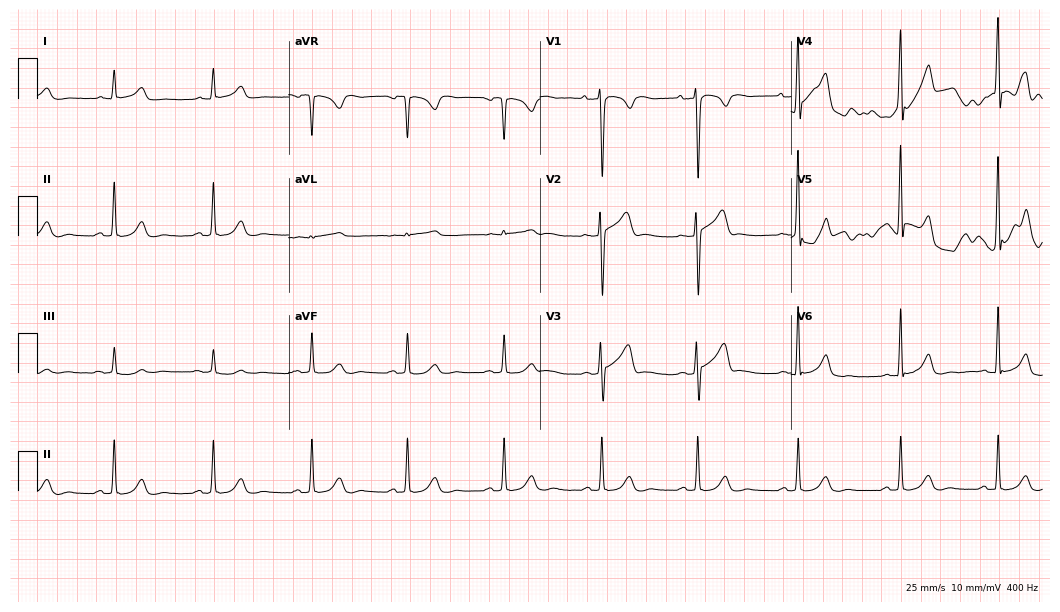
ECG — a 30-year-old male patient. Labelled as a normal ECG.